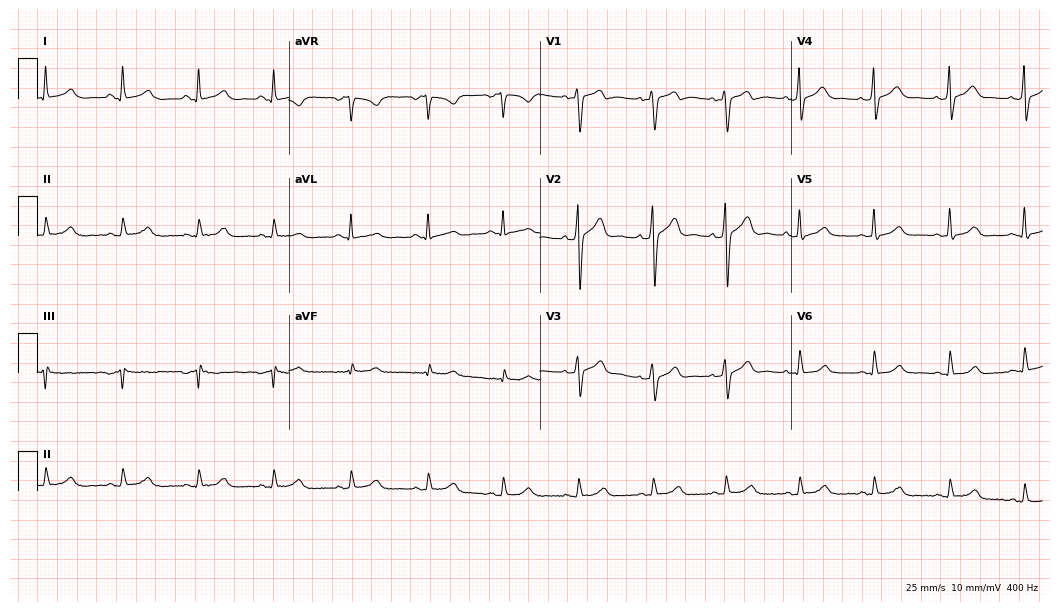
Electrocardiogram (10.2-second recording at 400 Hz), a male, 33 years old. Of the six screened findings (first-degree AV block, right bundle branch block (RBBB), left bundle branch block (LBBB), sinus bradycardia, atrial fibrillation (AF), sinus tachycardia), none is recorded.